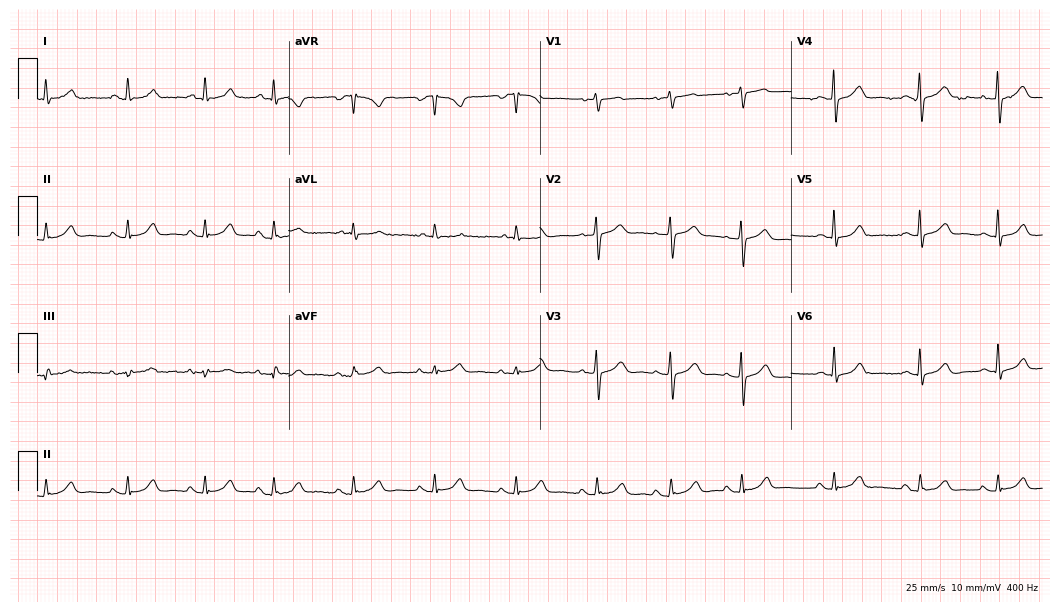
Standard 12-lead ECG recorded from an 80-year-old woman. None of these six findings is recorded: first-degree AV block, right bundle branch block, left bundle branch block, sinus bradycardia, atrial fibrillation, sinus tachycardia.